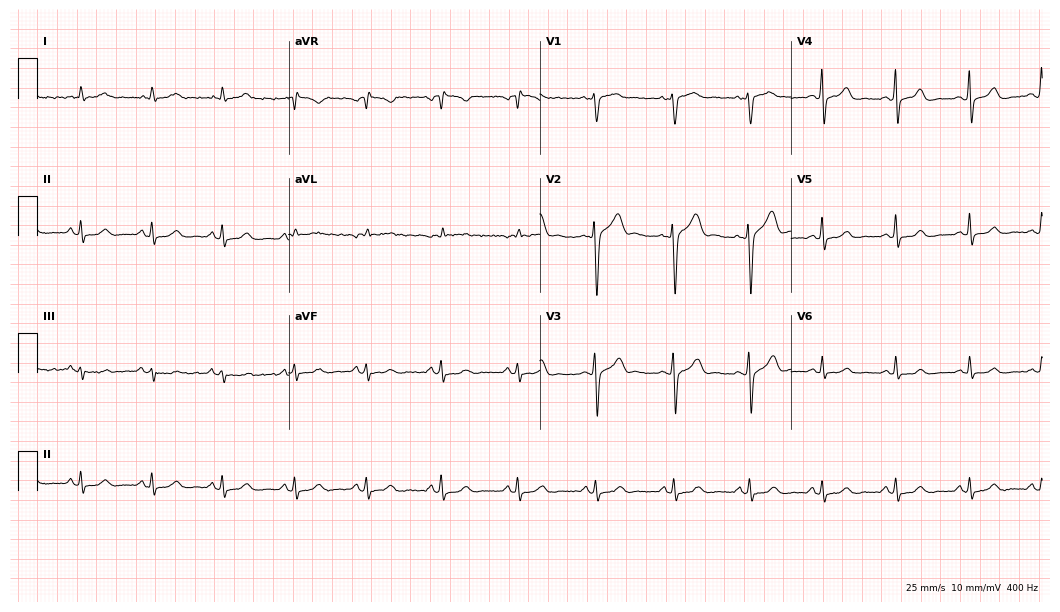
ECG — a male patient, 47 years old. Screened for six findings — first-degree AV block, right bundle branch block, left bundle branch block, sinus bradycardia, atrial fibrillation, sinus tachycardia — none is recorded. Only these six findings were labelled.